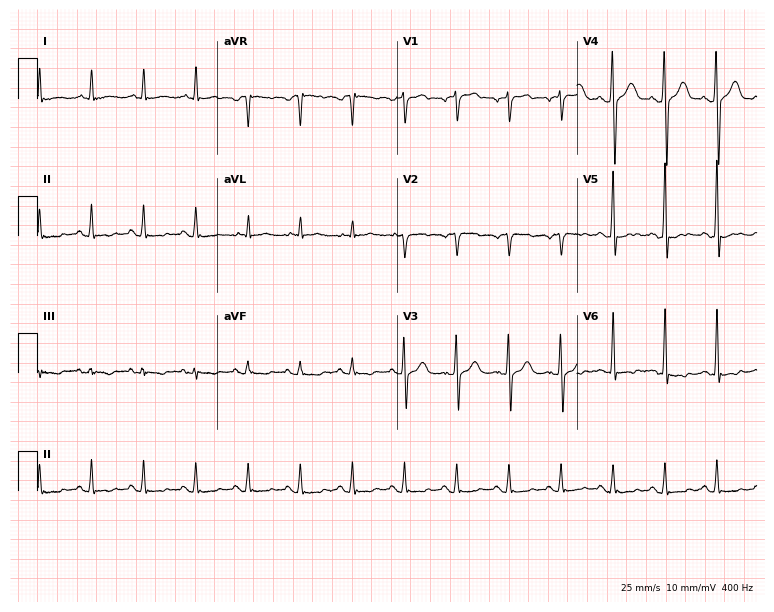
12-lead ECG (7.3-second recording at 400 Hz) from a 43-year-old male patient. Findings include sinus tachycardia (a sinus rate of 100 beats per minute or more).